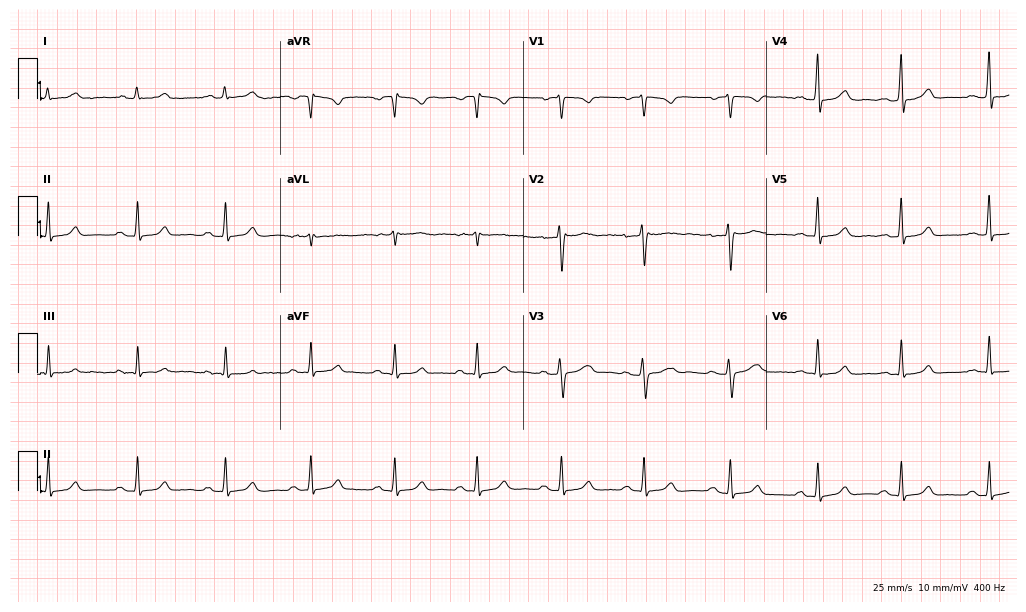
Standard 12-lead ECG recorded from a woman, 39 years old (9.9-second recording at 400 Hz). Read as a normal ECG.